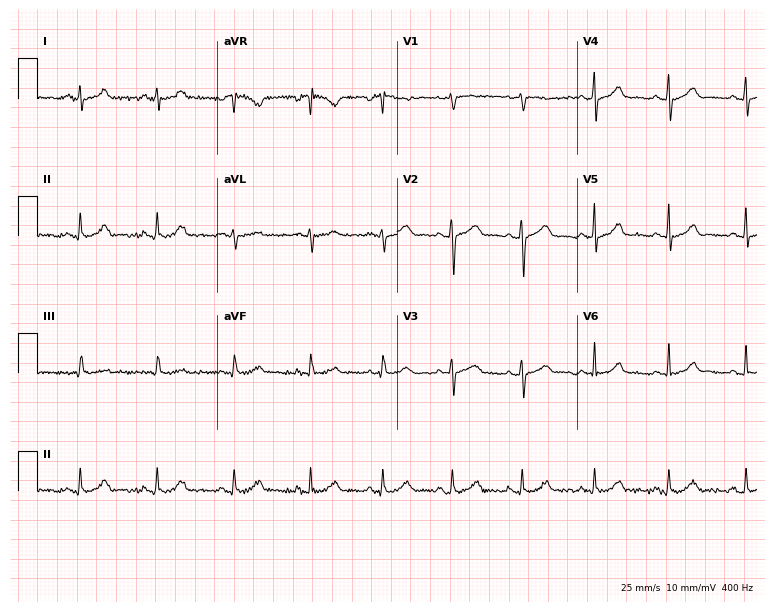
Resting 12-lead electrocardiogram. Patient: a woman, 22 years old. None of these six findings is recorded: first-degree AV block, right bundle branch block, left bundle branch block, sinus bradycardia, atrial fibrillation, sinus tachycardia.